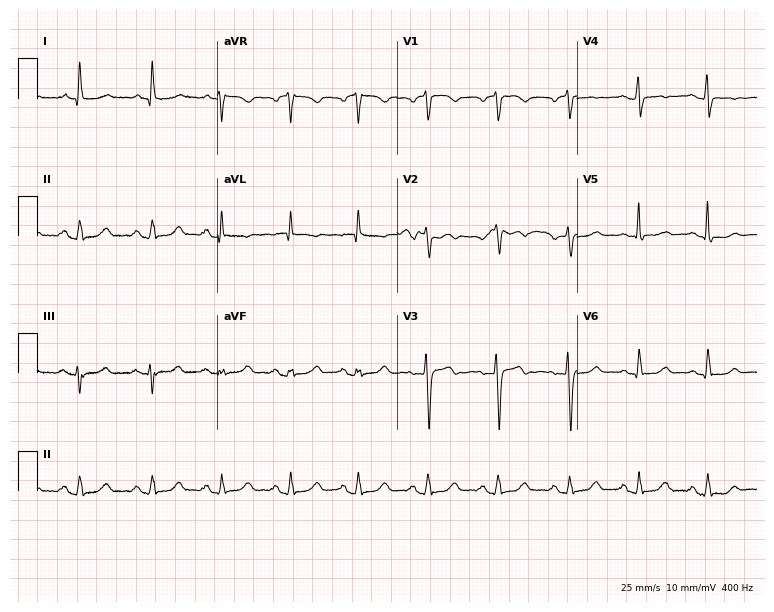
Electrocardiogram, a 63-year-old female. Overall reading on record: normal ECG.